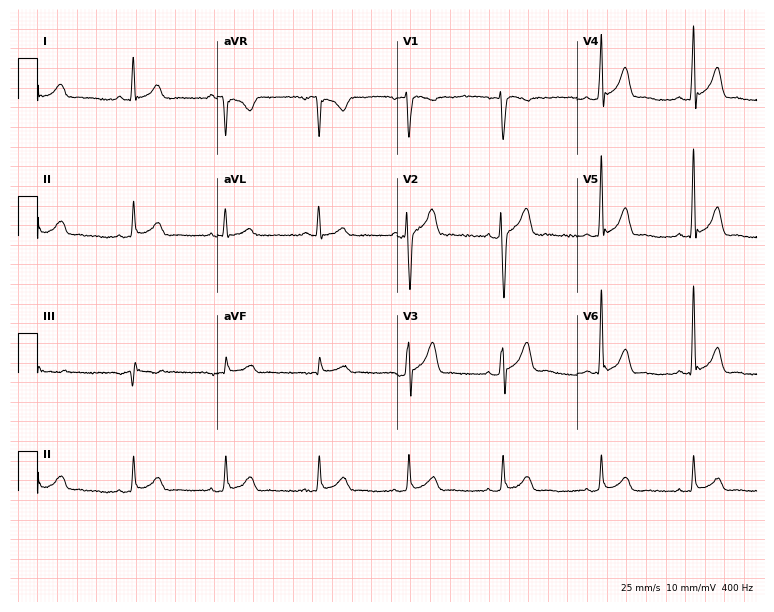
12-lead ECG from a 28-year-old man. Recorded interpretation: within normal limits.